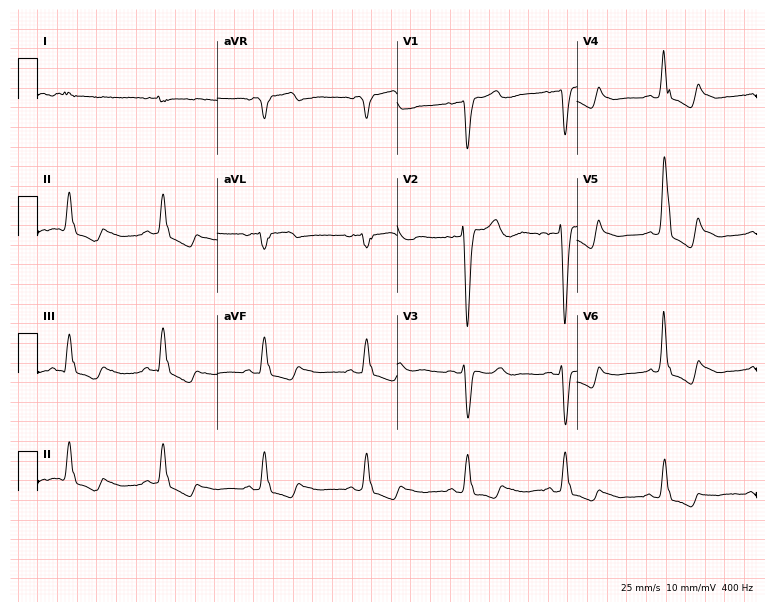
12-lead ECG from a female, 63 years old (7.3-second recording at 400 Hz). Shows left bundle branch block (LBBB).